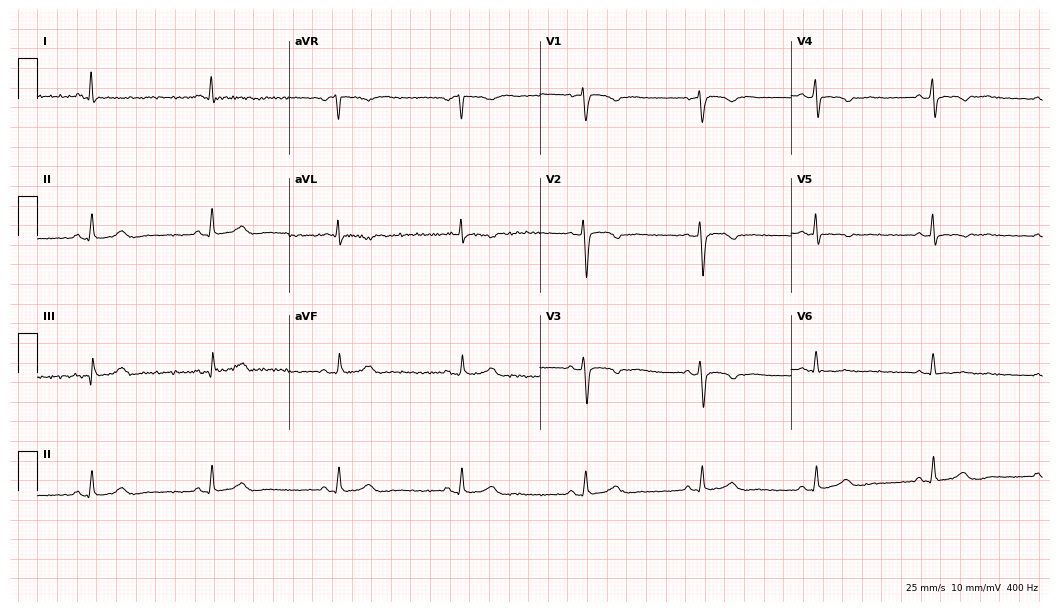
12-lead ECG from a 49-year-old woman (10.2-second recording at 400 Hz). No first-degree AV block, right bundle branch block, left bundle branch block, sinus bradycardia, atrial fibrillation or sinus tachycardia recorded for this tracing. Findings outside these six are not listed.